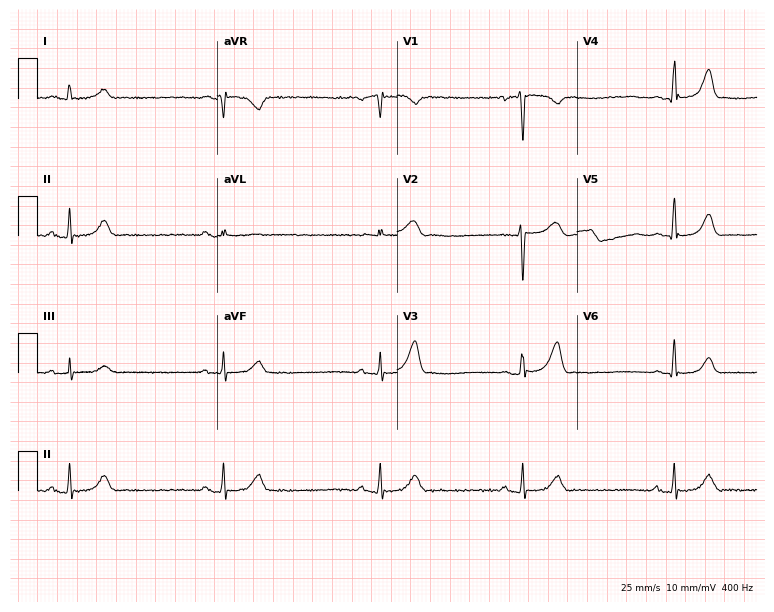
Electrocardiogram, a 44-year-old female patient. Interpretation includes sinus bradycardia (a sinus rate of 50 beats per minute or less).